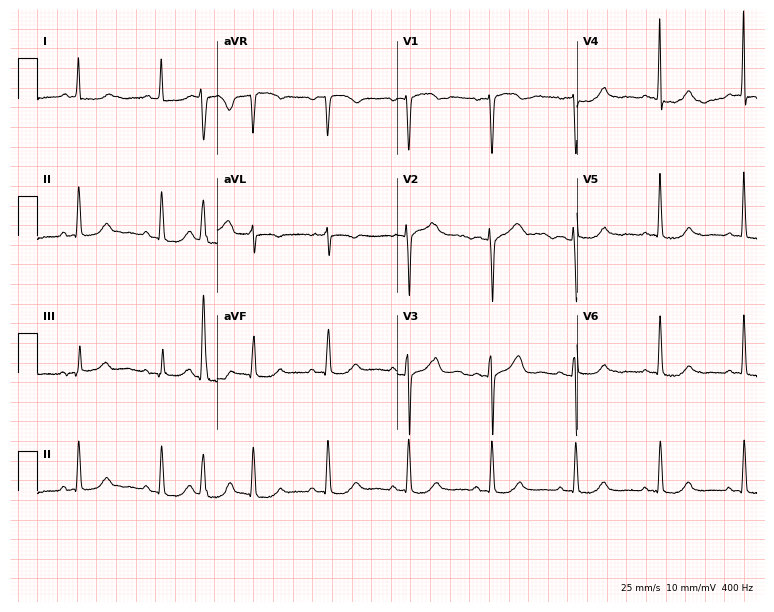
Resting 12-lead electrocardiogram. Patient: a female, 75 years old. None of these six findings is recorded: first-degree AV block, right bundle branch block (RBBB), left bundle branch block (LBBB), sinus bradycardia, atrial fibrillation (AF), sinus tachycardia. Only these six findings were labelled.